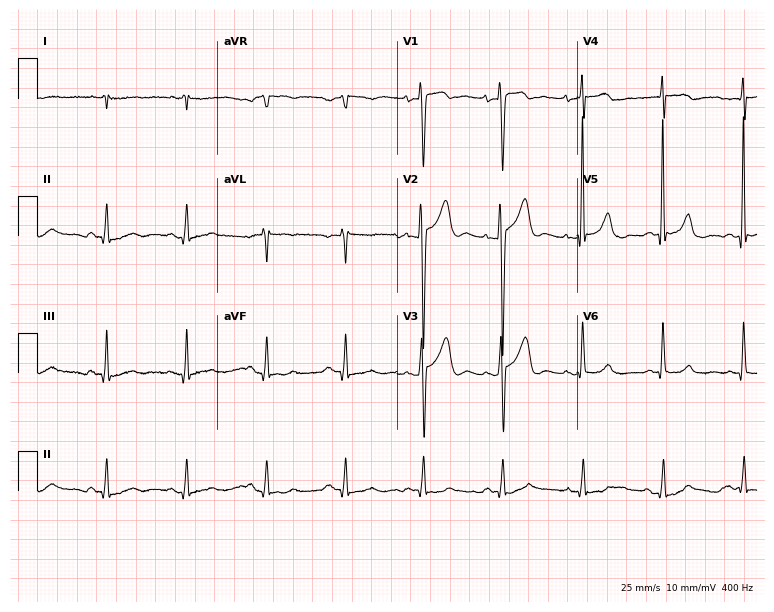
Resting 12-lead electrocardiogram. Patient: a male, 46 years old. None of these six findings is recorded: first-degree AV block, right bundle branch block (RBBB), left bundle branch block (LBBB), sinus bradycardia, atrial fibrillation (AF), sinus tachycardia.